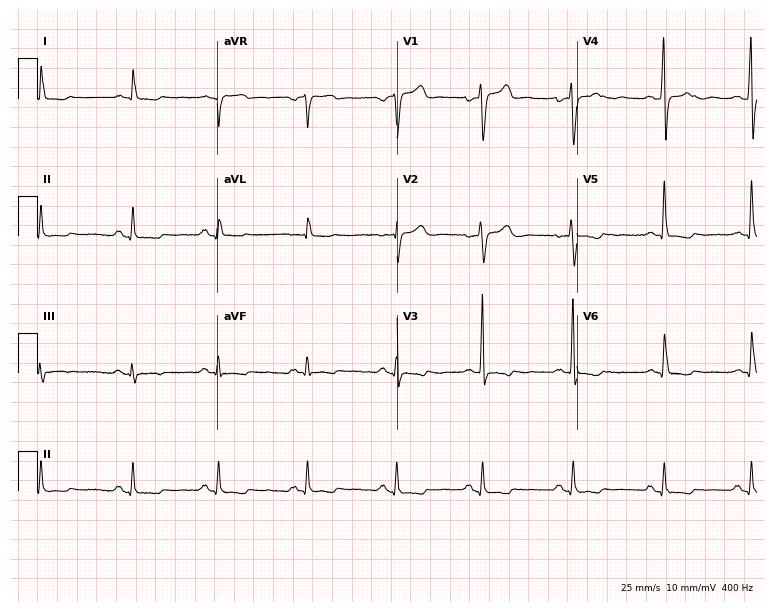
Standard 12-lead ECG recorded from a 44-year-old female (7.3-second recording at 400 Hz). None of these six findings is recorded: first-degree AV block, right bundle branch block, left bundle branch block, sinus bradycardia, atrial fibrillation, sinus tachycardia.